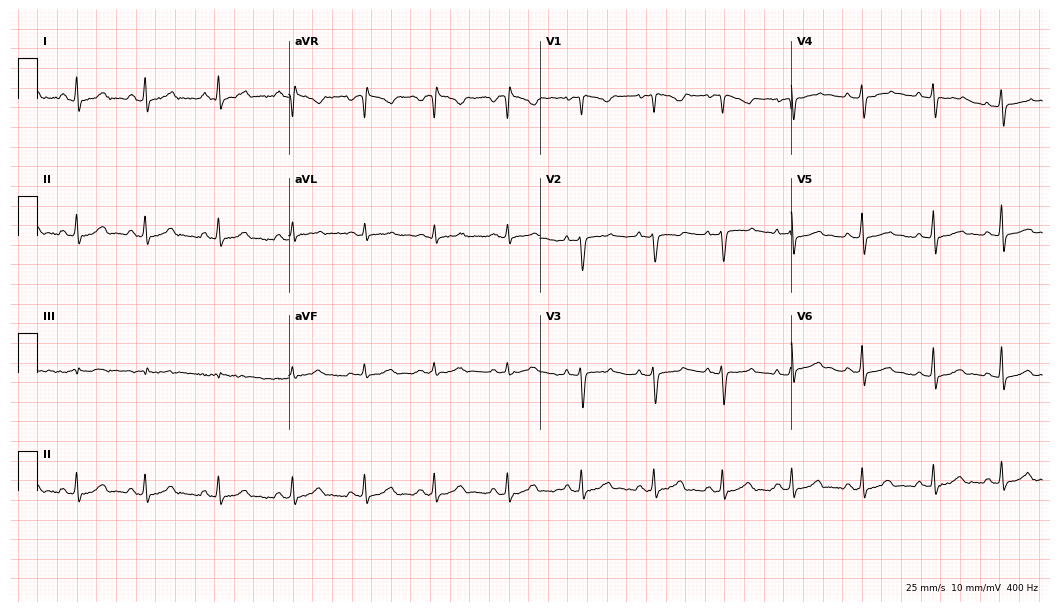
Resting 12-lead electrocardiogram (10.2-second recording at 400 Hz). Patient: a woman, 33 years old. Read as a normal ECG.